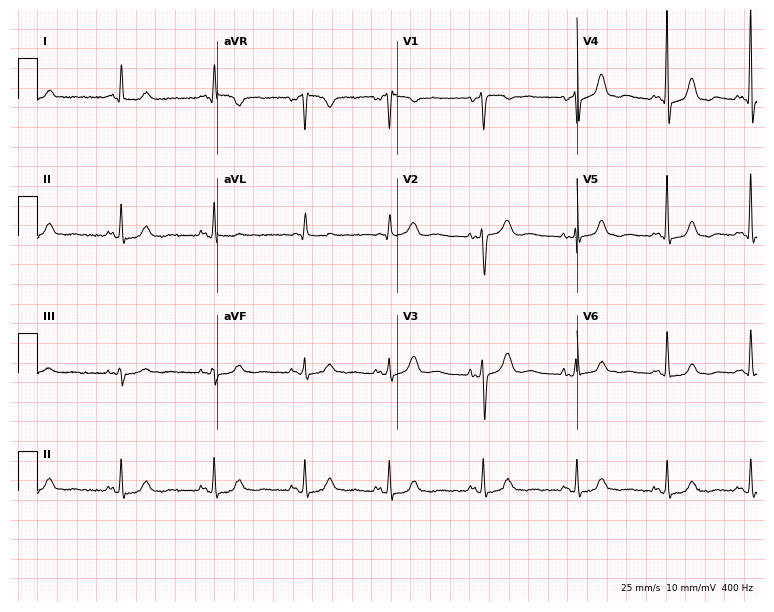
Standard 12-lead ECG recorded from a female patient, 83 years old (7.3-second recording at 400 Hz). None of these six findings is recorded: first-degree AV block, right bundle branch block, left bundle branch block, sinus bradycardia, atrial fibrillation, sinus tachycardia. Other findings, if any, are not listed.